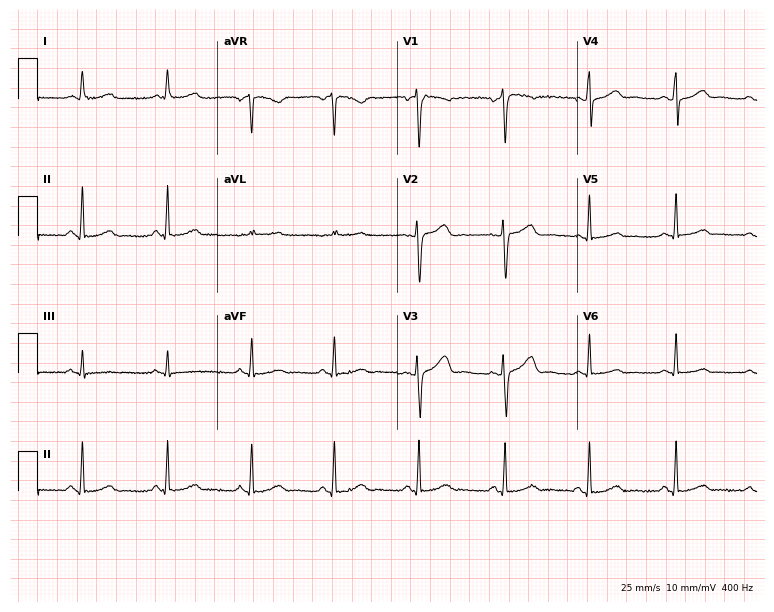
12-lead ECG from a 40-year-old woman. Recorded interpretation: within normal limits.